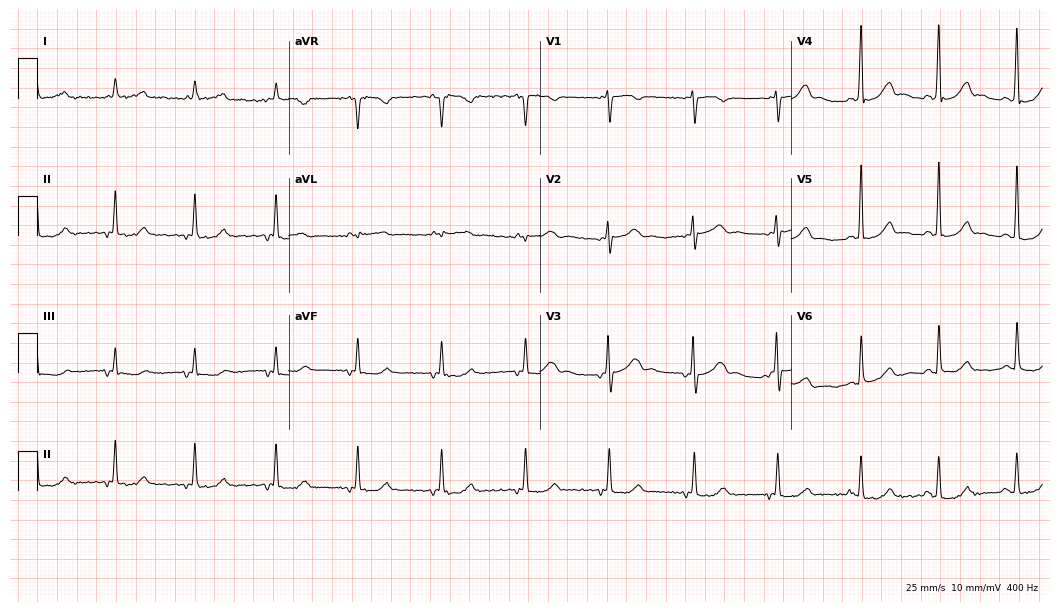
Resting 12-lead electrocardiogram (10.2-second recording at 400 Hz). Patient: a 47-year-old female. None of these six findings is recorded: first-degree AV block, right bundle branch block, left bundle branch block, sinus bradycardia, atrial fibrillation, sinus tachycardia. Only these six findings were labelled.